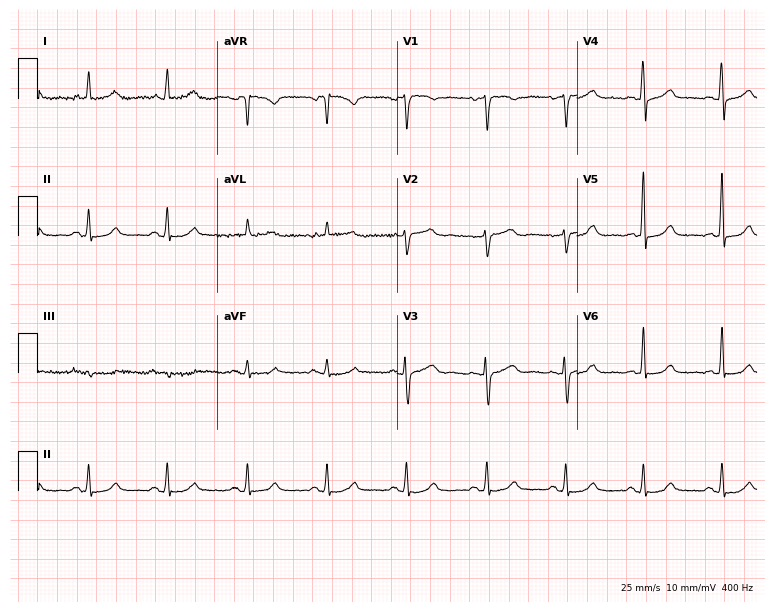
12-lead ECG from a 53-year-old female patient. Recorded interpretation: within normal limits.